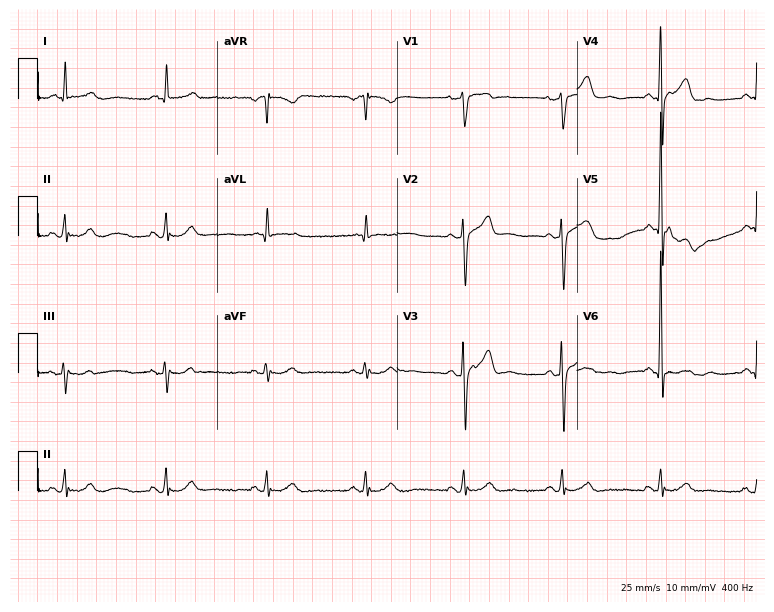
Resting 12-lead electrocardiogram. Patient: a 63-year-old male. None of these six findings is recorded: first-degree AV block, right bundle branch block, left bundle branch block, sinus bradycardia, atrial fibrillation, sinus tachycardia.